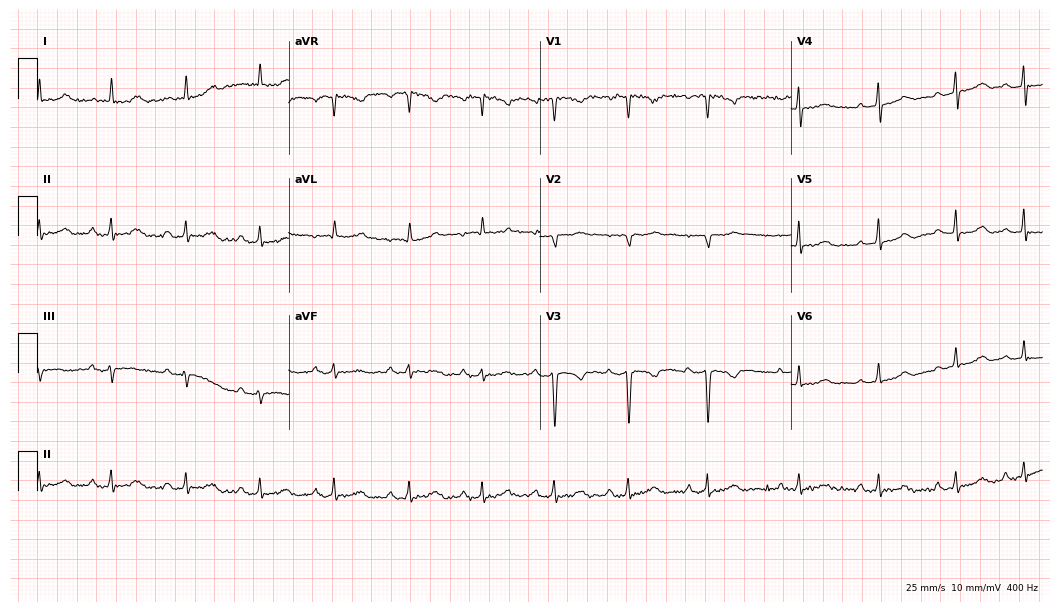
12-lead ECG from a woman, 27 years old. Screened for six findings — first-degree AV block, right bundle branch block (RBBB), left bundle branch block (LBBB), sinus bradycardia, atrial fibrillation (AF), sinus tachycardia — none is recorded.